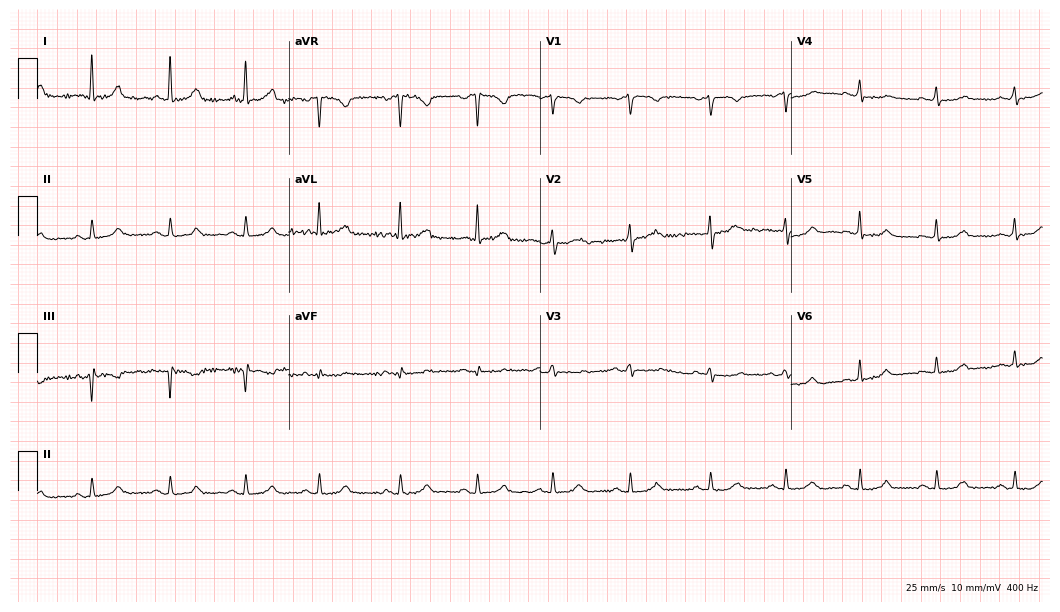
Standard 12-lead ECG recorded from a female patient, 59 years old. Read as a normal ECG.